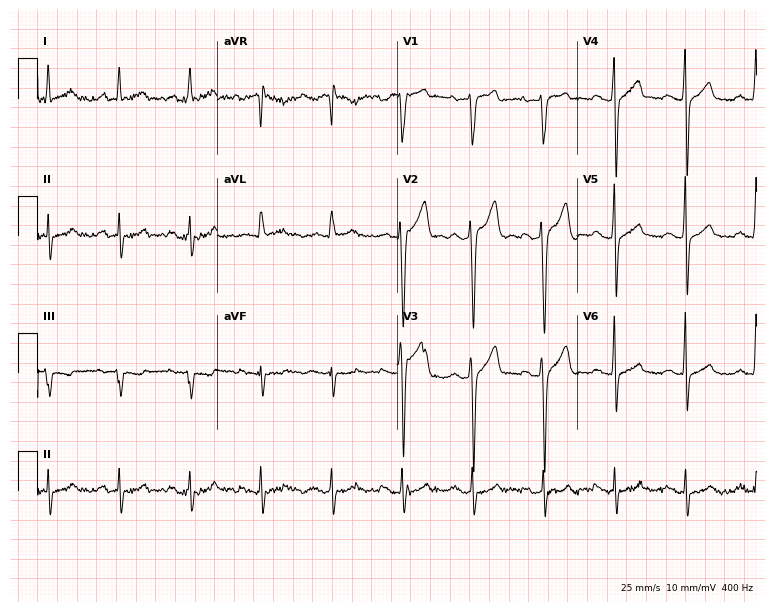
Standard 12-lead ECG recorded from a male patient, 43 years old. None of these six findings is recorded: first-degree AV block, right bundle branch block, left bundle branch block, sinus bradycardia, atrial fibrillation, sinus tachycardia. Only these six findings were labelled.